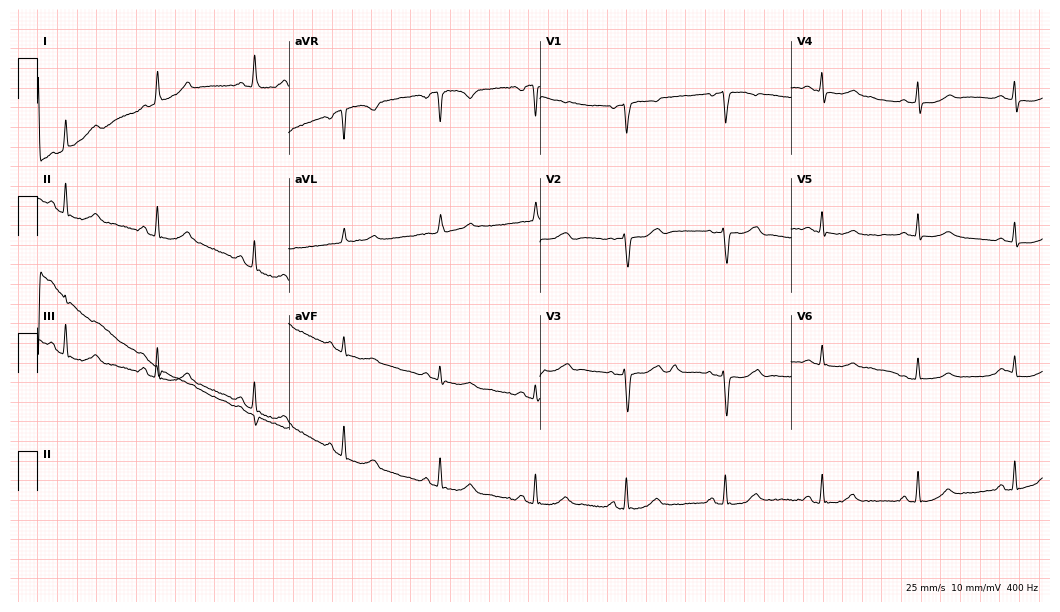
12-lead ECG from a male patient, 65 years old. Recorded interpretation: within normal limits.